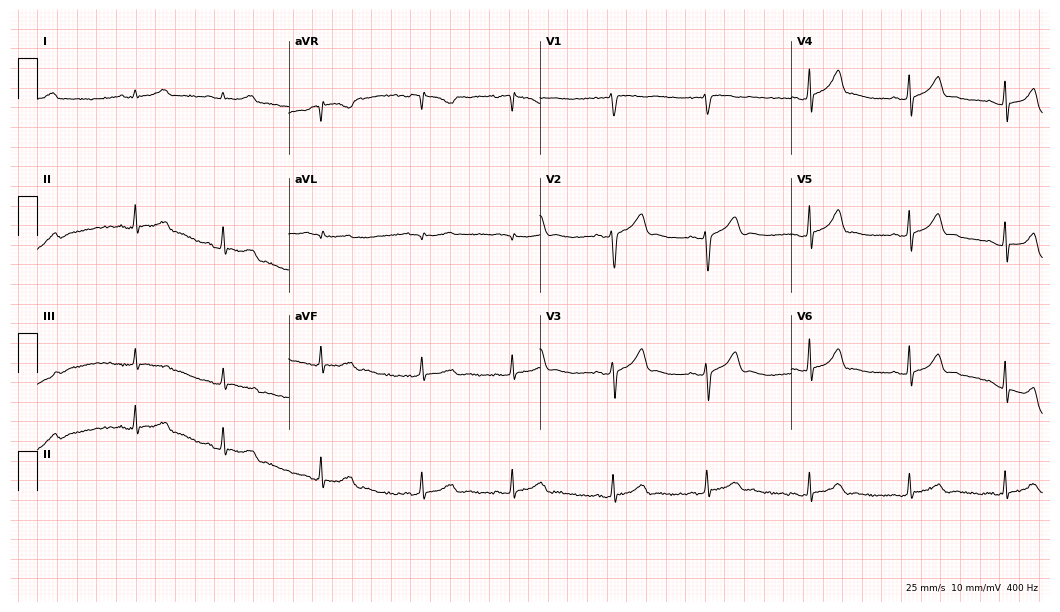
Standard 12-lead ECG recorded from a 23-year-old female. Read as a normal ECG.